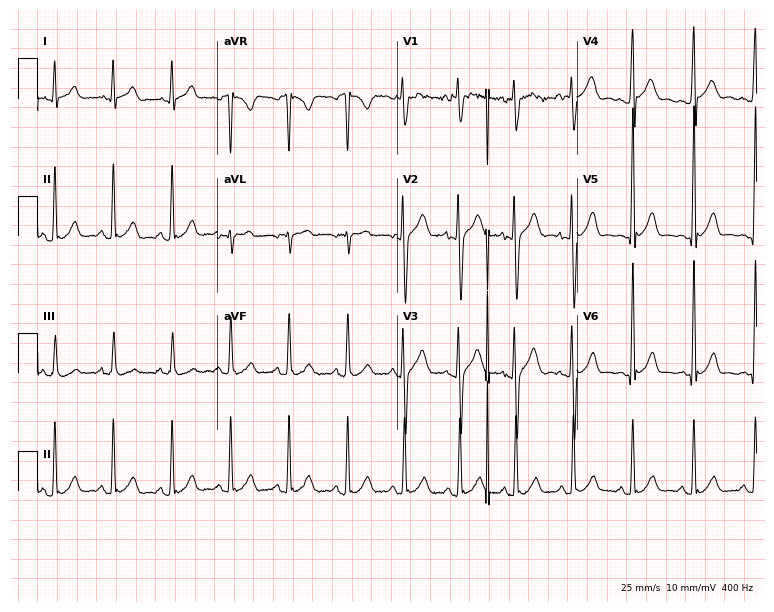
12-lead ECG from a 17-year-old male patient. Recorded interpretation: within normal limits.